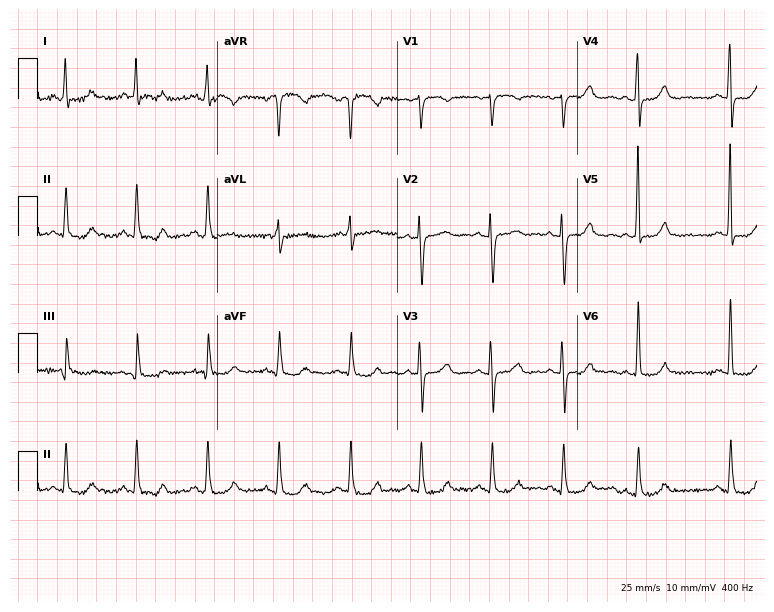
Electrocardiogram (7.3-second recording at 400 Hz), a female patient, 77 years old. Of the six screened findings (first-degree AV block, right bundle branch block (RBBB), left bundle branch block (LBBB), sinus bradycardia, atrial fibrillation (AF), sinus tachycardia), none is recorded.